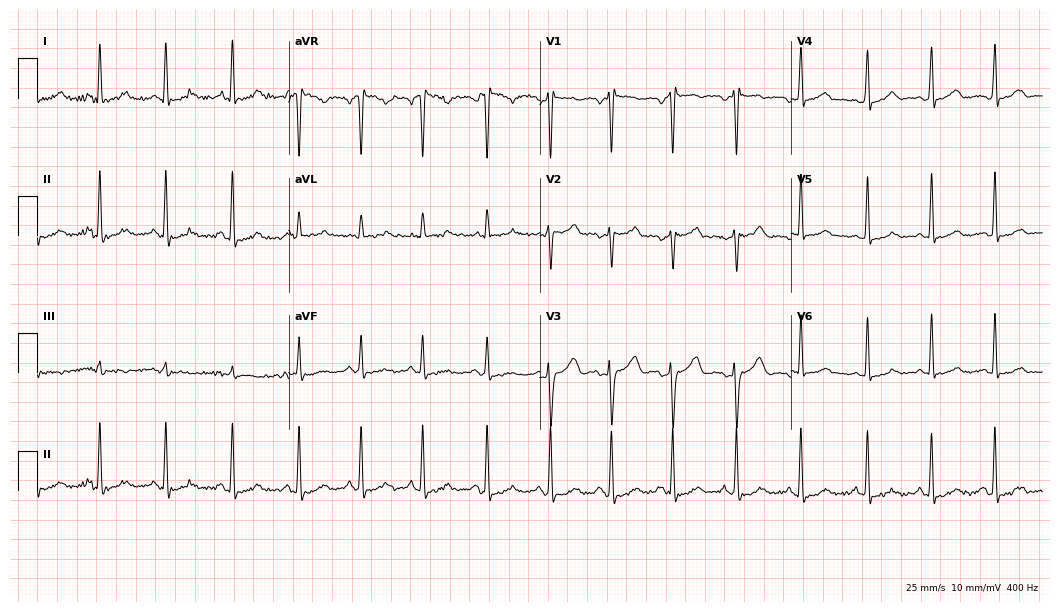
12-lead ECG from a female, 32 years old (10.2-second recording at 400 Hz). No first-degree AV block, right bundle branch block (RBBB), left bundle branch block (LBBB), sinus bradycardia, atrial fibrillation (AF) or sinus tachycardia recorded for this tracing.